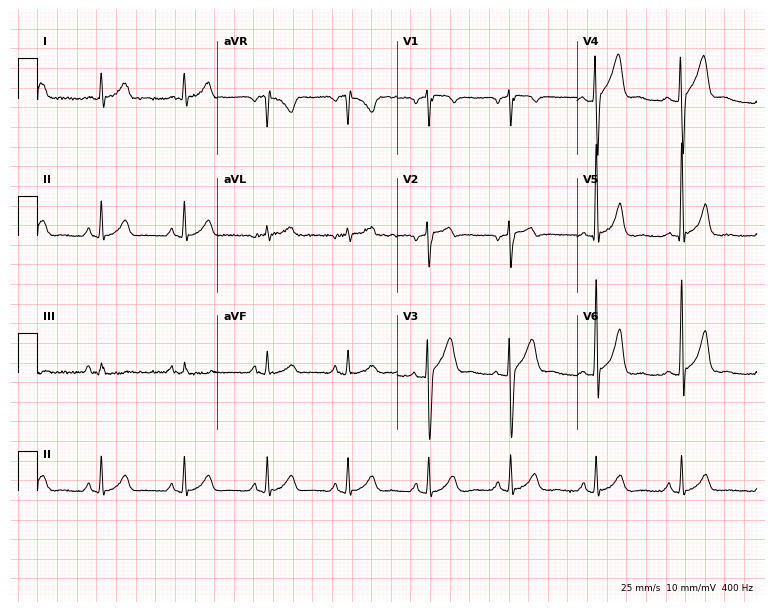
Resting 12-lead electrocardiogram. Patient: a man, 41 years old. Read as a normal ECG.